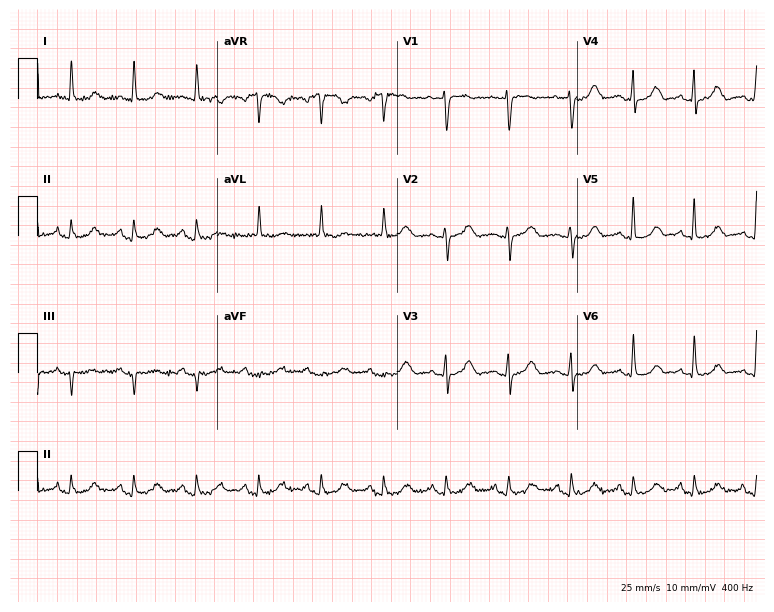
12-lead ECG from a female patient, 73 years old (7.3-second recording at 400 Hz). No first-degree AV block, right bundle branch block (RBBB), left bundle branch block (LBBB), sinus bradycardia, atrial fibrillation (AF) or sinus tachycardia recorded for this tracing. Only these six findings were labelled.